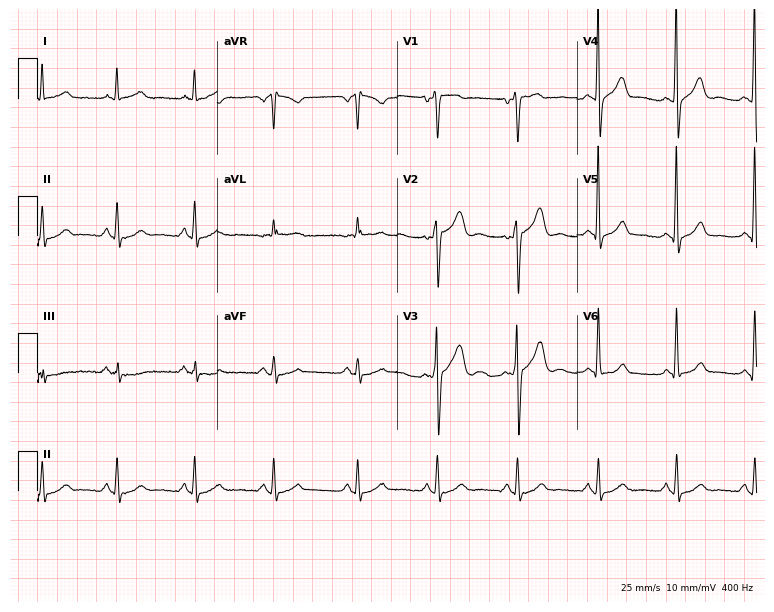
Standard 12-lead ECG recorded from a male patient, 40 years old. None of these six findings is recorded: first-degree AV block, right bundle branch block (RBBB), left bundle branch block (LBBB), sinus bradycardia, atrial fibrillation (AF), sinus tachycardia. Findings outside these six are not listed.